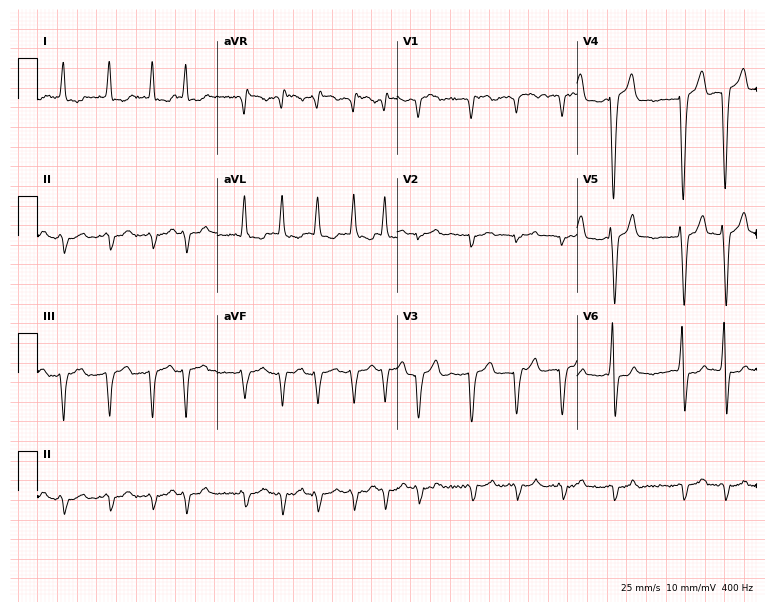
ECG — a 72-year-old female. Findings include atrial fibrillation.